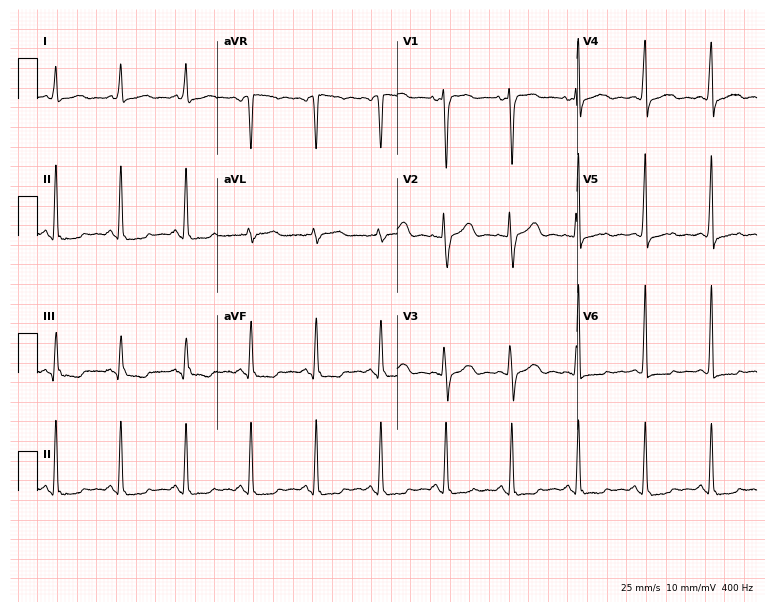
Resting 12-lead electrocardiogram (7.3-second recording at 400 Hz). Patient: a female, 55 years old. None of these six findings is recorded: first-degree AV block, right bundle branch block, left bundle branch block, sinus bradycardia, atrial fibrillation, sinus tachycardia.